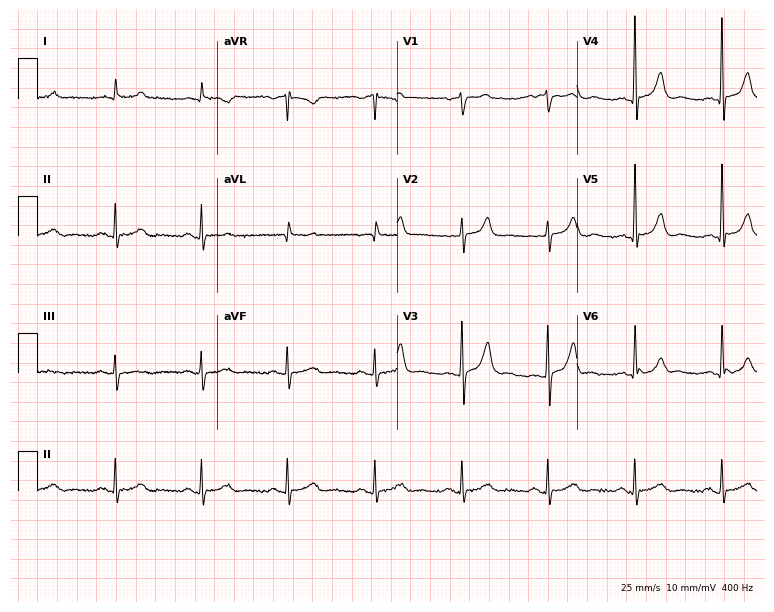
12-lead ECG from a 79-year-old male patient (7.3-second recording at 400 Hz). Recorded interpretation: within normal limits.